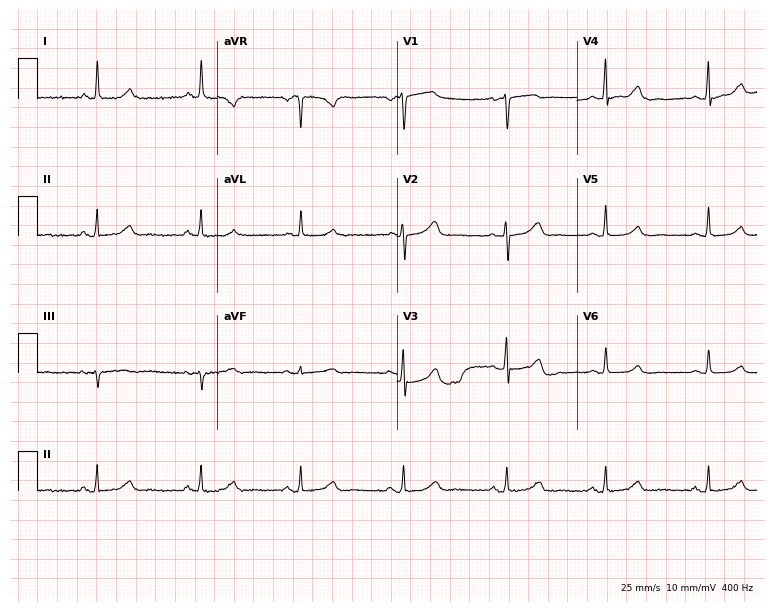
ECG (7.3-second recording at 400 Hz) — a 71-year-old female patient. Labelled as a normal ECG.